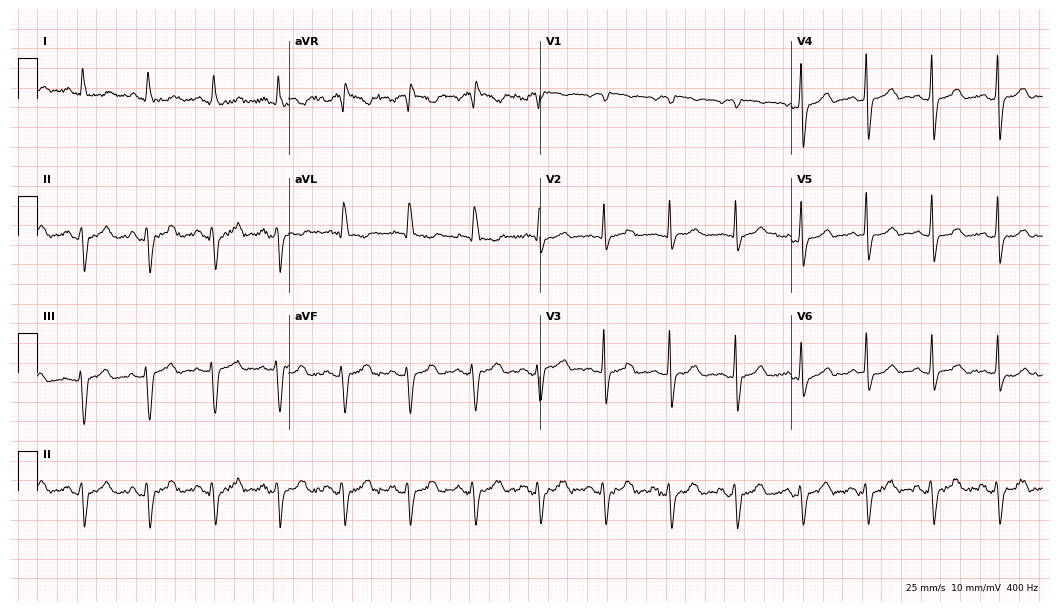
Standard 12-lead ECG recorded from a male, 69 years old (10.2-second recording at 400 Hz). None of these six findings is recorded: first-degree AV block, right bundle branch block (RBBB), left bundle branch block (LBBB), sinus bradycardia, atrial fibrillation (AF), sinus tachycardia. Findings outside these six are not listed.